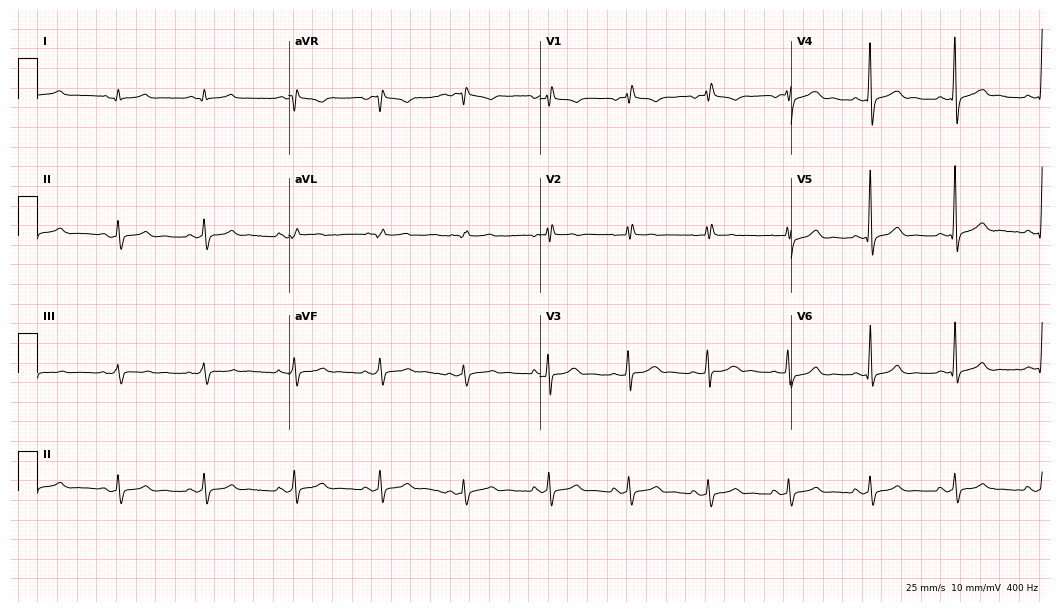
Resting 12-lead electrocardiogram (10.2-second recording at 400 Hz). Patient: a male, 36 years old. None of these six findings is recorded: first-degree AV block, right bundle branch block, left bundle branch block, sinus bradycardia, atrial fibrillation, sinus tachycardia. Only these six findings were labelled.